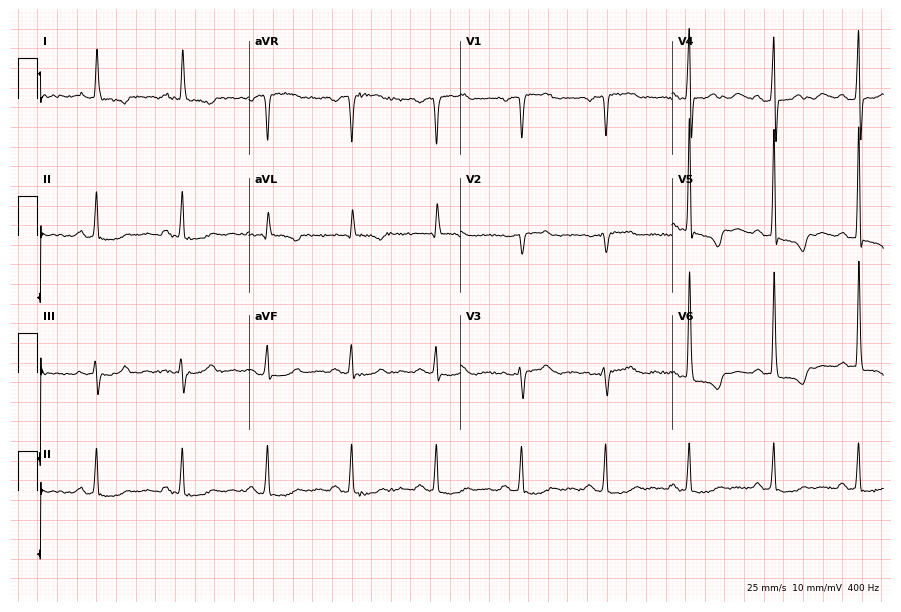
Resting 12-lead electrocardiogram (8.6-second recording at 400 Hz). Patient: a 58-year-old woman. None of these six findings is recorded: first-degree AV block, right bundle branch block, left bundle branch block, sinus bradycardia, atrial fibrillation, sinus tachycardia.